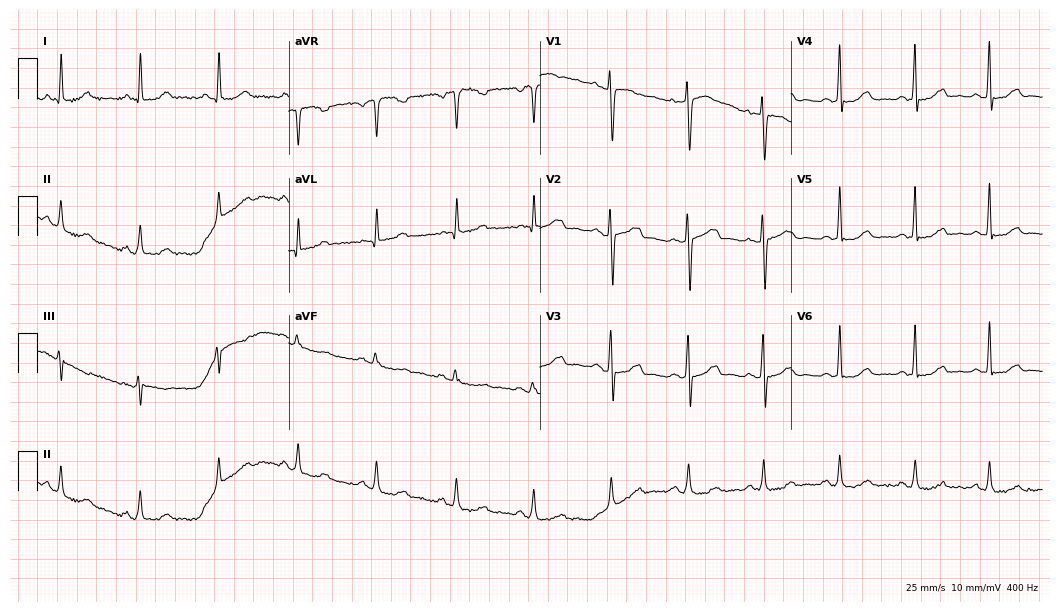
Electrocardiogram, a woman, 55 years old. Overall reading on record: normal ECG.